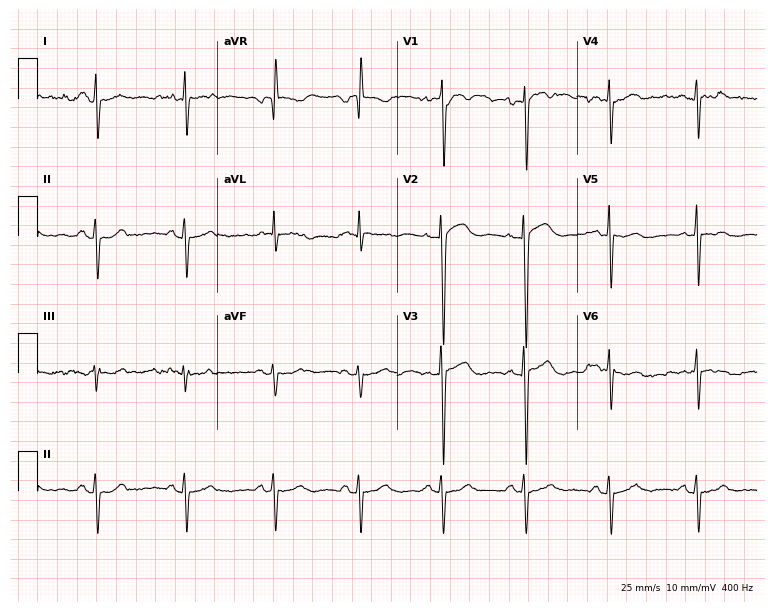
Resting 12-lead electrocardiogram. Patient: a 61-year-old man. None of these six findings is recorded: first-degree AV block, right bundle branch block (RBBB), left bundle branch block (LBBB), sinus bradycardia, atrial fibrillation (AF), sinus tachycardia. Findings outside these six are not listed.